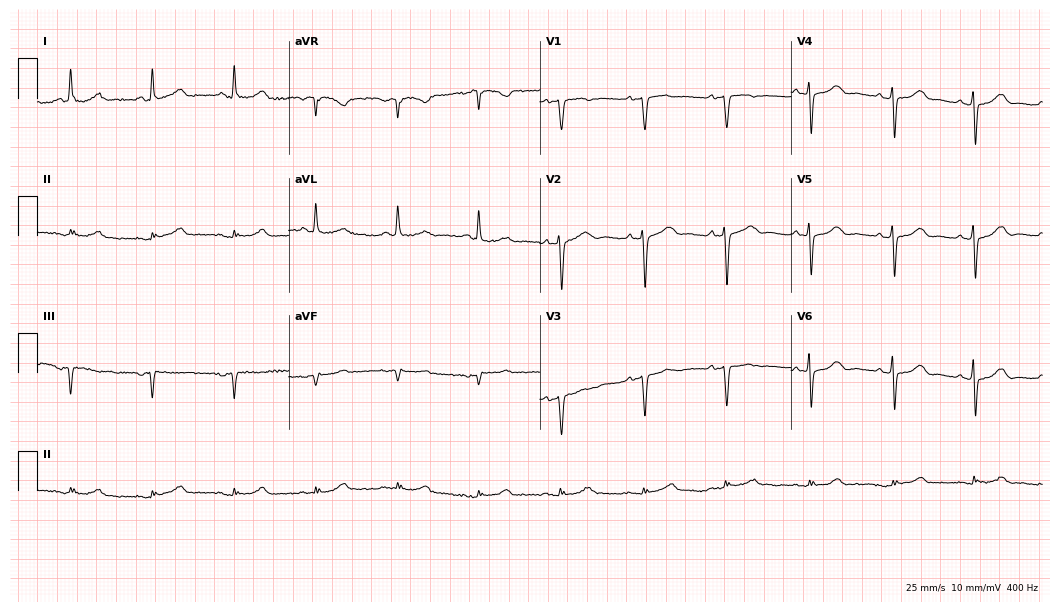
12-lead ECG from a woman, 82 years old. Screened for six findings — first-degree AV block, right bundle branch block, left bundle branch block, sinus bradycardia, atrial fibrillation, sinus tachycardia — none is recorded.